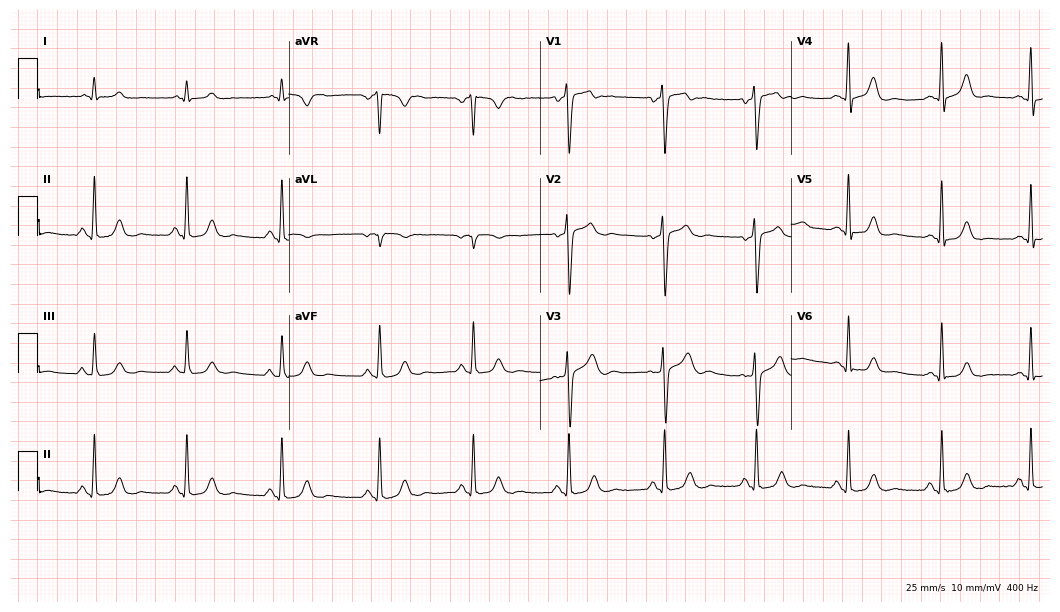
Standard 12-lead ECG recorded from a man, 43 years old. Read as a normal ECG.